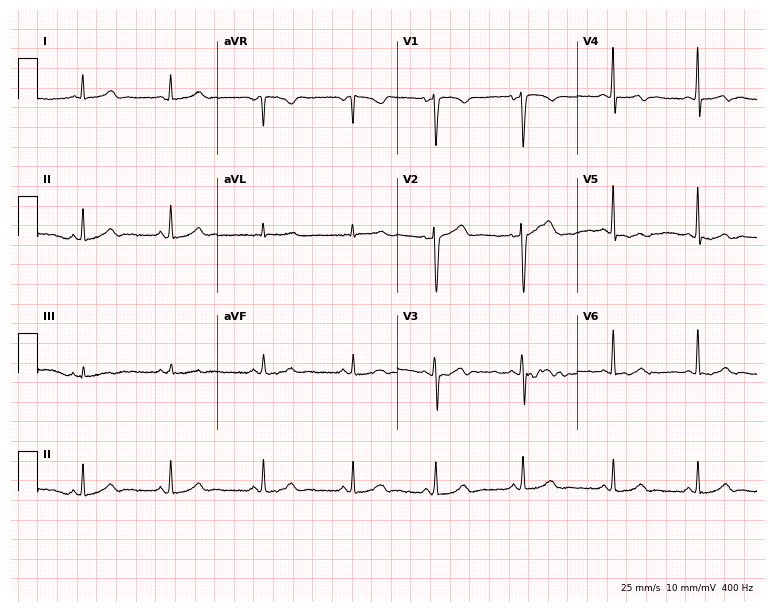
Standard 12-lead ECG recorded from a man, 32 years old (7.3-second recording at 400 Hz). Read as a normal ECG.